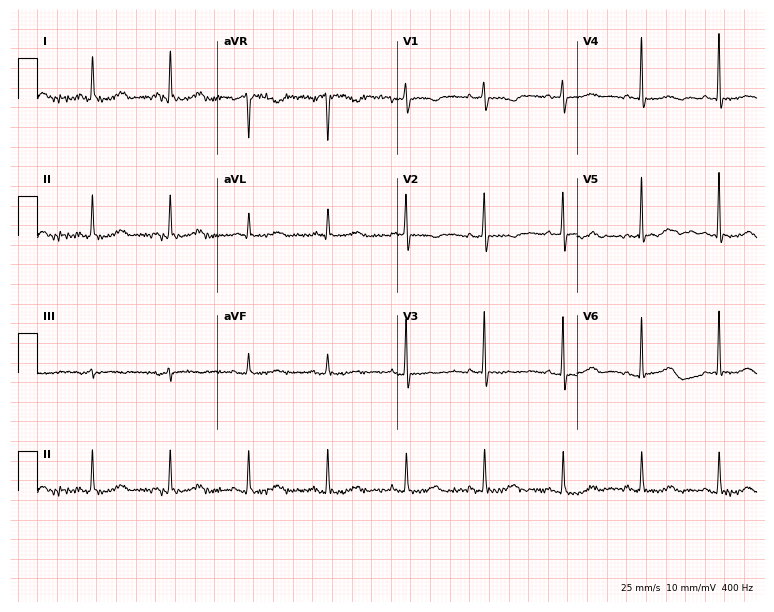
12-lead ECG from an 81-year-old female patient. Screened for six findings — first-degree AV block, right bundle branch block, left bundle branch block, sinus bradycardia, atrial fibrillation, sinus tachycardia — none is recorded.